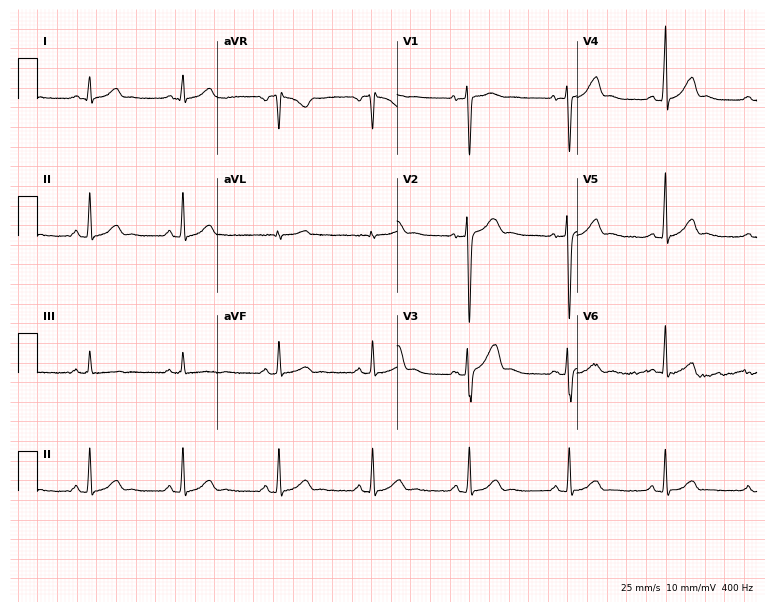
ECG — a woman, 26 years old. Labelled as a normal ECG.